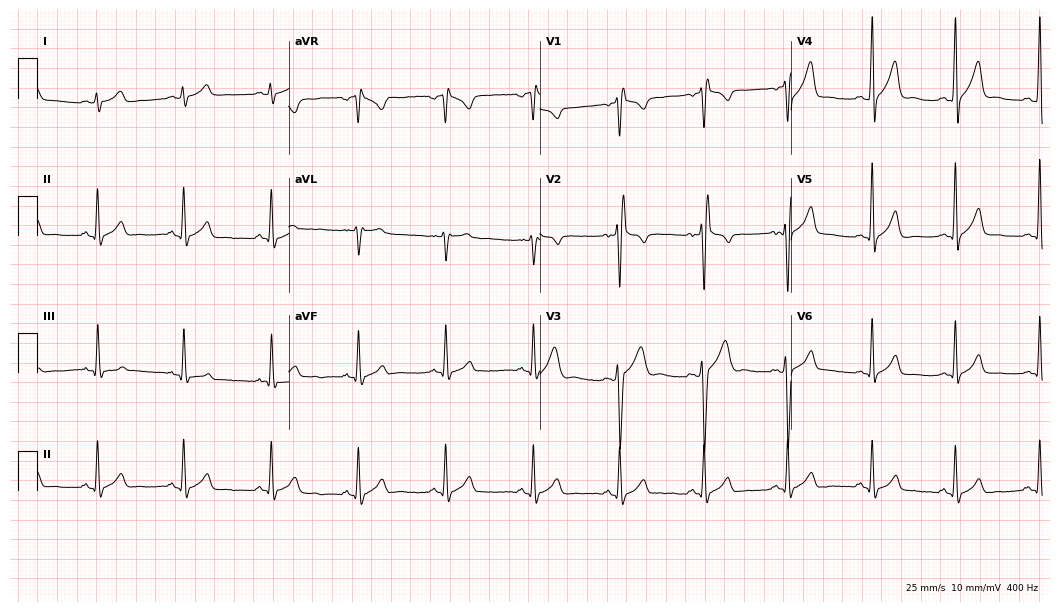
12-lead ECG from a man, 26 years old (10.2-second recording at 400 Hz). No first-degree AV block, right bundle branch block, left bundle branch block, sinus bradycardia, atrial fibrillation or sinus tachycardia recorded for this tracing.